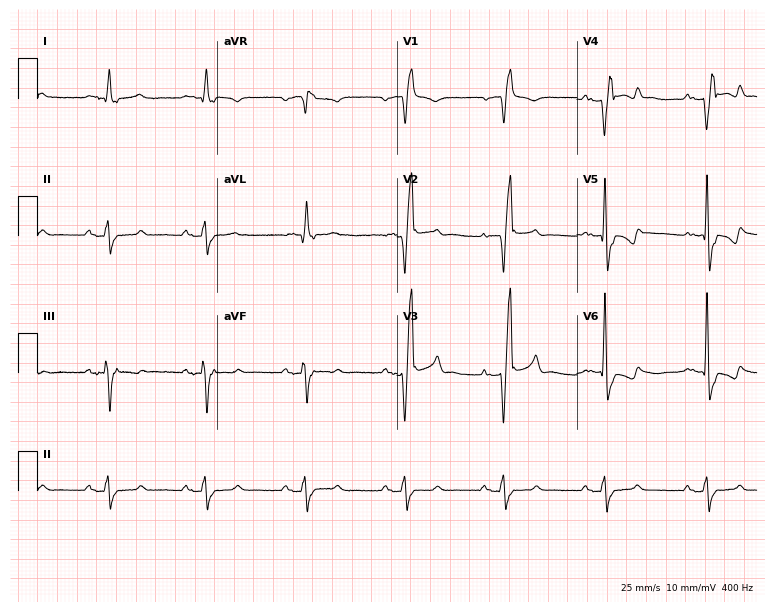
12-lead ECG from a 72-year-old male. Shows right bundle branch block.